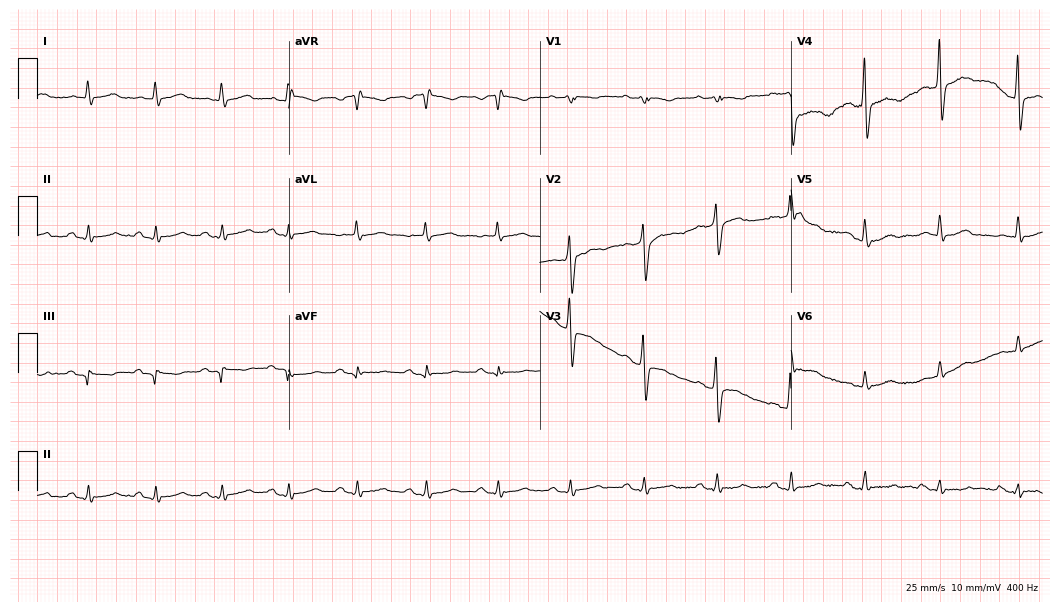
12-lead ECG from a 70-year-old man. No first-degree AV block, right bundle branch block, left bundle branch block, sinus bradycardia, atrial fibrillation or sinus tachycardia recorded for this tracing. Findings outside these six are not listed.